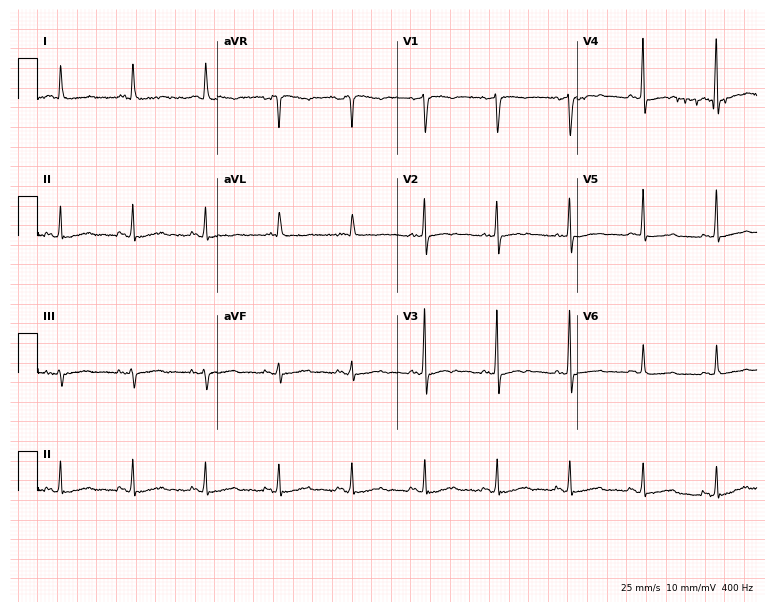
Standard 12-lead ECG recorded from a female patient, 71 years old. None of these six findings is recorded: first-degree AV block, right bundle branch block, left bundle branch block, sinus bradycardia, atrial fibrillation, sinus tachycardia.